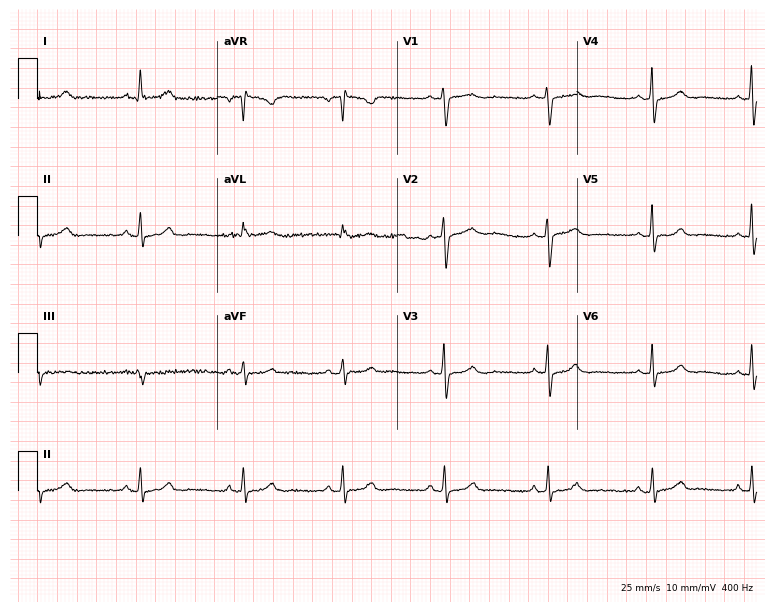
12-lead ECG from a 46-year-old female. Screened for six findings — first-degree AV block, right bundle branch block (RBBB), left bundle branch block (LBBB), sinus bradycardia, atrial fibrillation (AF), sinus tachycardia — none is recorded.